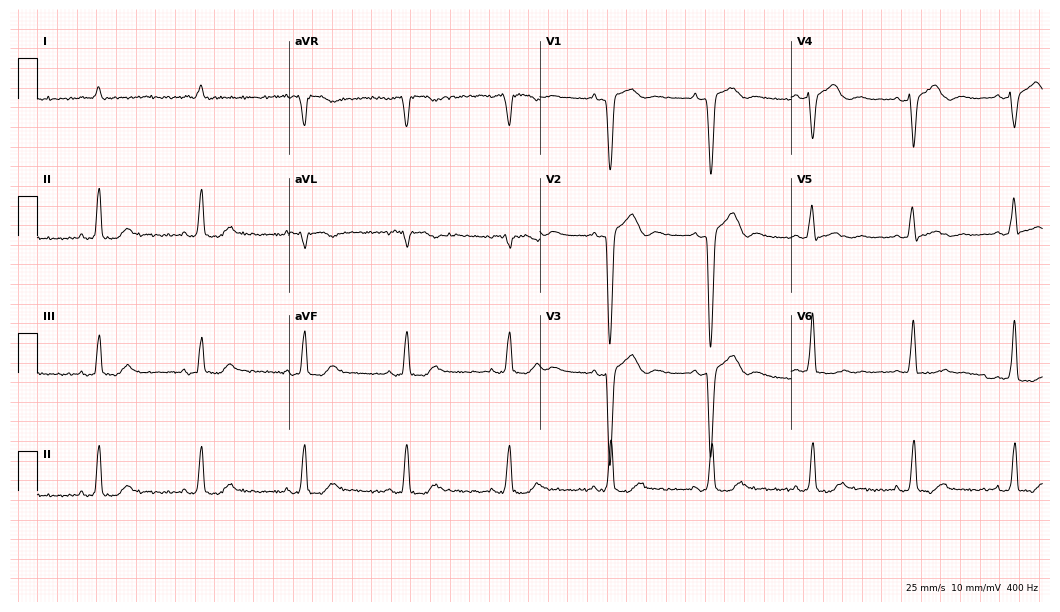
12-lead ECG from a male, 77 years old (10.2-second recording at 400 Hz). No first-degree AV block, right bundle branch block (RBBB), left bundle branch block (LBBB), sinus bradycardia, atrial fibrillation (AF) or sinus tachycardia recorded for this tracing. Findings outside these six are not listed.